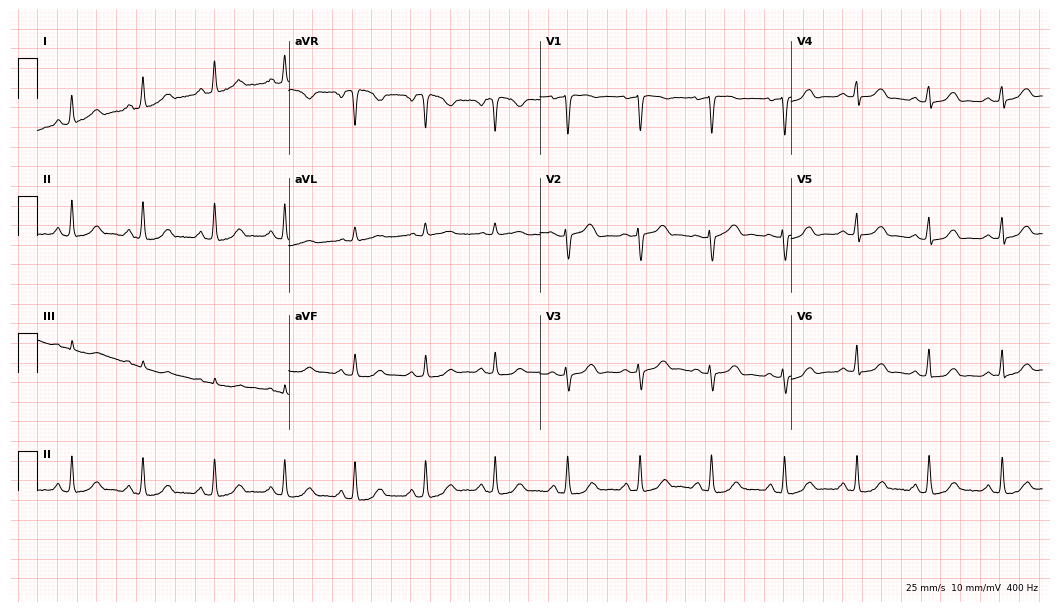
Electrocardiogram, a female patient, 46 years old. Overall reading on record: normal ECG.